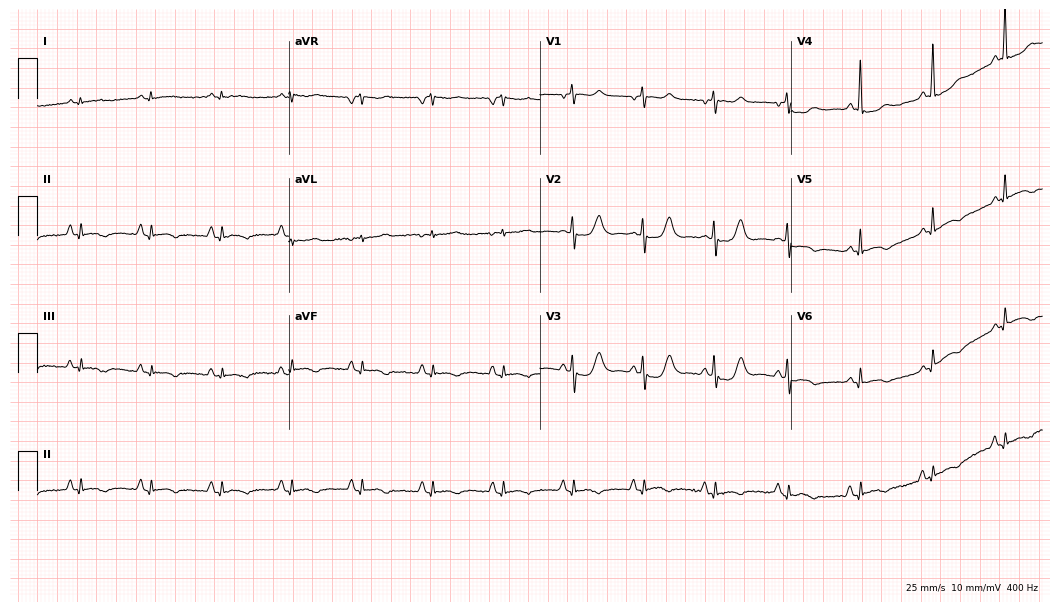
Standard 12-lead ECG recorded from a female patient, 62 years old (10.2-second recording at 400 Hz). None of these six findings is recorded: first-degree AV block, right bundle branch block (RBBB), left bundle branch block (LBBB), sinus bradycardia, atrial fibrillation (AF), sinus tachycardia. Findings outside these six are not listed.